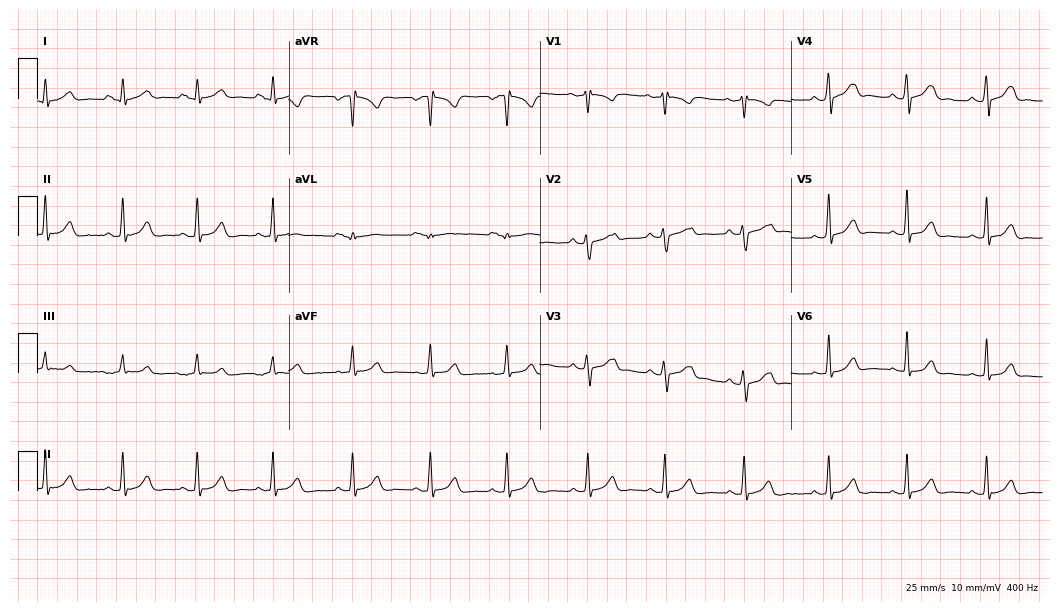
12-lead ECG from a 22-year-old woman. Recorded interpretation: within normal limits.